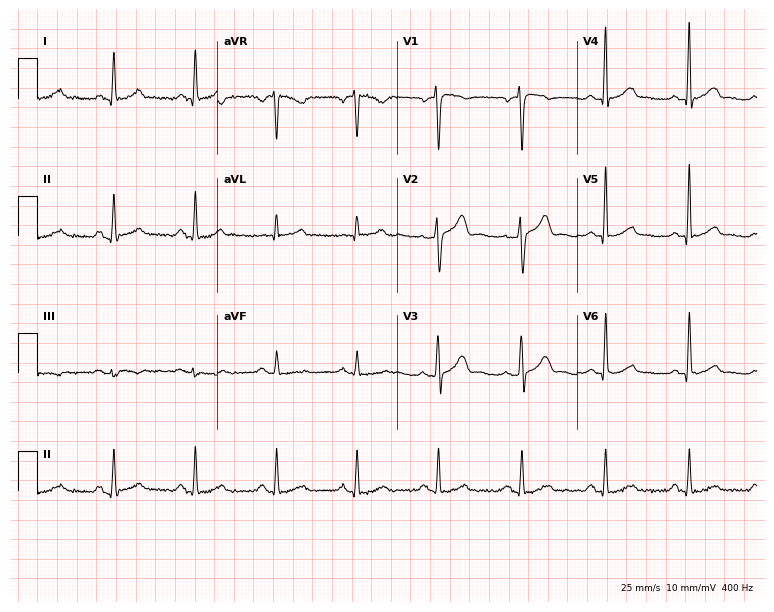
Electrocardiogram (7.3-second recording at 400 Hz), a 46-year-old male patient. Of the six screened findings (first-degree AV block, right bundle branch block (RBBB), left bundle branch block (LBBB), sinus bradycardia, atrial fibrillation (AF), sinus tachycardia), none is recorded.